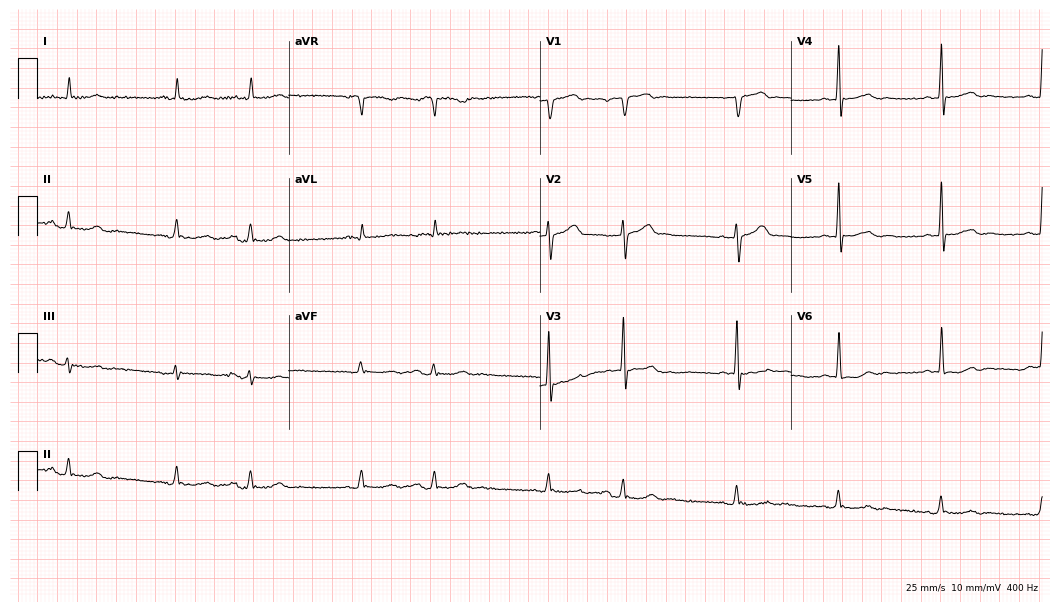
12-lead ECG (10.2-second recording at 400 Hz) from a 69-year-old male patient. Labelled as a normal ECG.